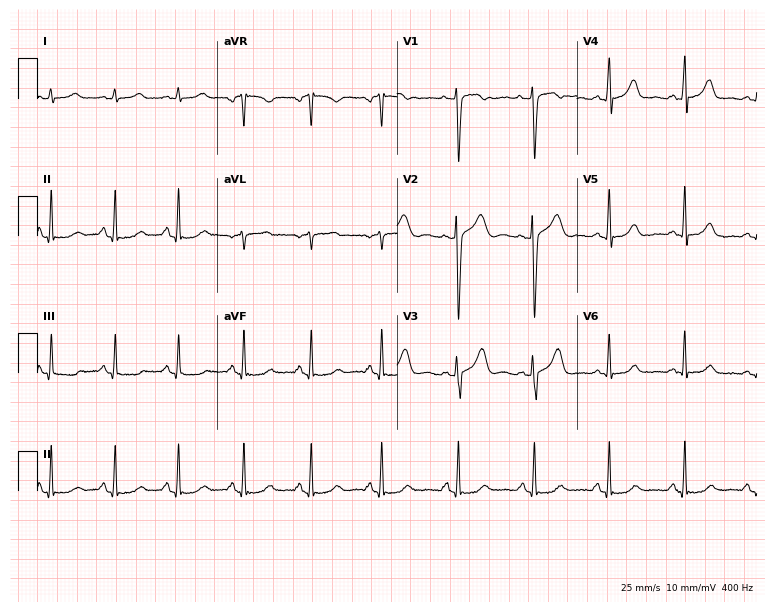
12-lead ECG (7.3-second recording at 400 Hz) from a woman, 46 years old. Labelled as a normal ECG.